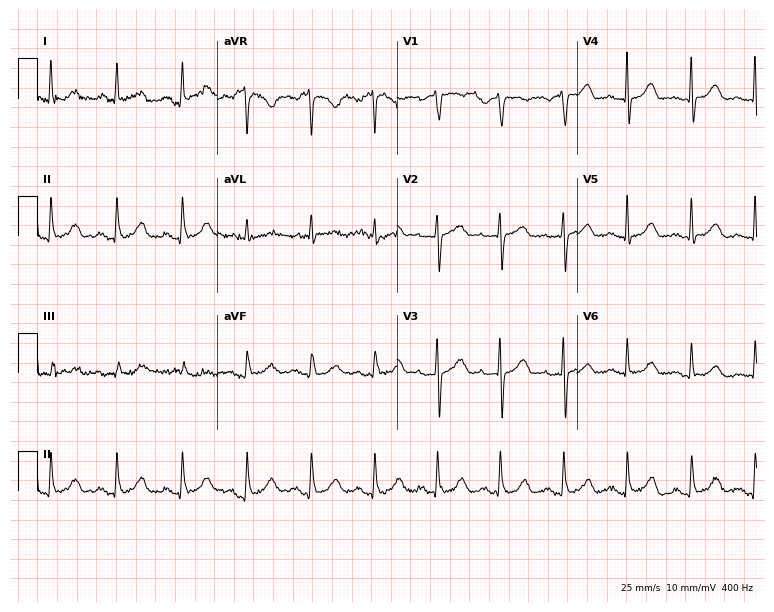
Standard 12-lead ECG recorded from a 76-year-old woman (7.3-second recording at 400 Hz). None of these six findings is recorded: first-degree AV block, right bundle branch block, left bundle branch block, sinus bradycardia, atrial fibrillation, sinus tachycardia. Other findings, if any, are not listed.